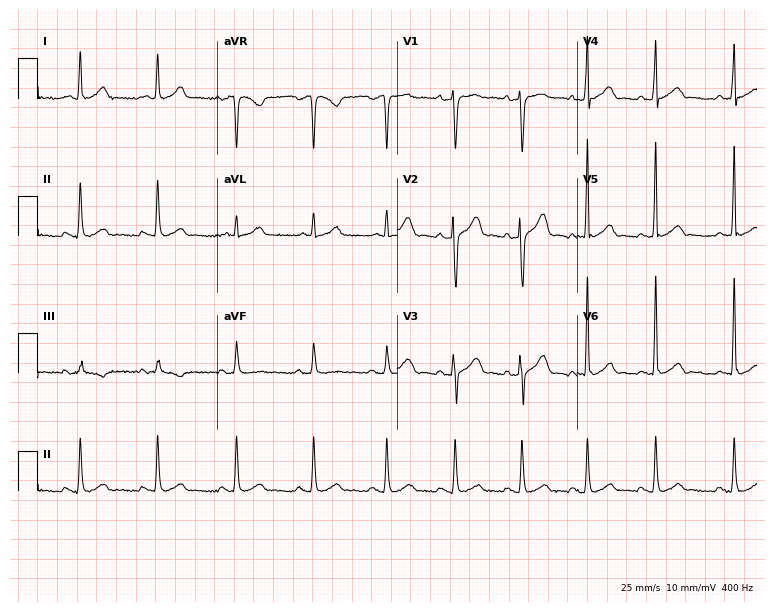
Resting 12-lead electrocardiogram. Patient: a 37-year-old male. None of these six findings is recorded: first-degree AV block, right bundle branch block, left bundle branch block, sinus bradycardia, atrial fibrillation, sinus tachycardia.